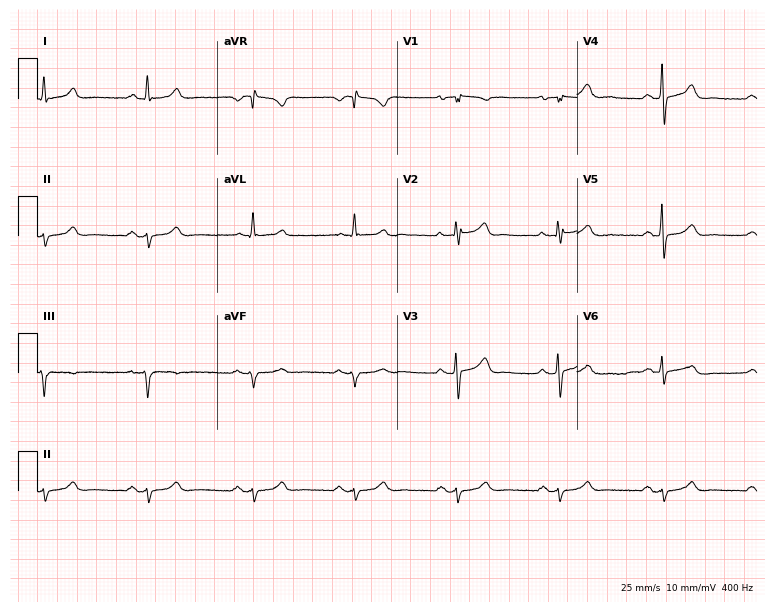
12-lead ECG from a male patient, 62 years old (7.3-second recording at 400 Hz). No first-degree AV block, right bundle branch block (RBBB), left bundle branch block (LBBB), sinus bradycardia, atrial fibrillation (AF) or sinus tachycardia recorded for this tracing.